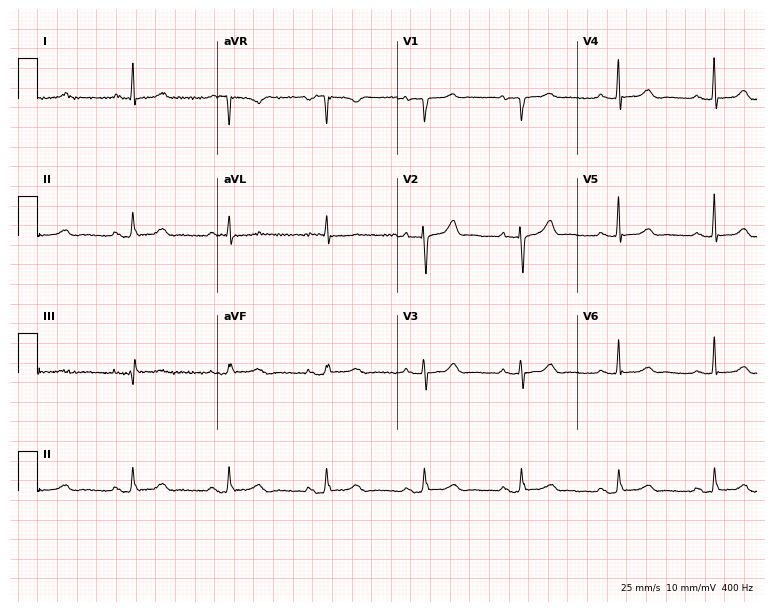
Resting 12-lead electrocardiogram (7.3-second recording at 400 Hz). Patient: a 62-year-old female. None of these six findings is recorded: first-degree AV block, right bundle branch block (RBBB), left bundle branch block (LBBB), sinus bradycardia, atrial fibrillation (AF), sinus tachycardia.